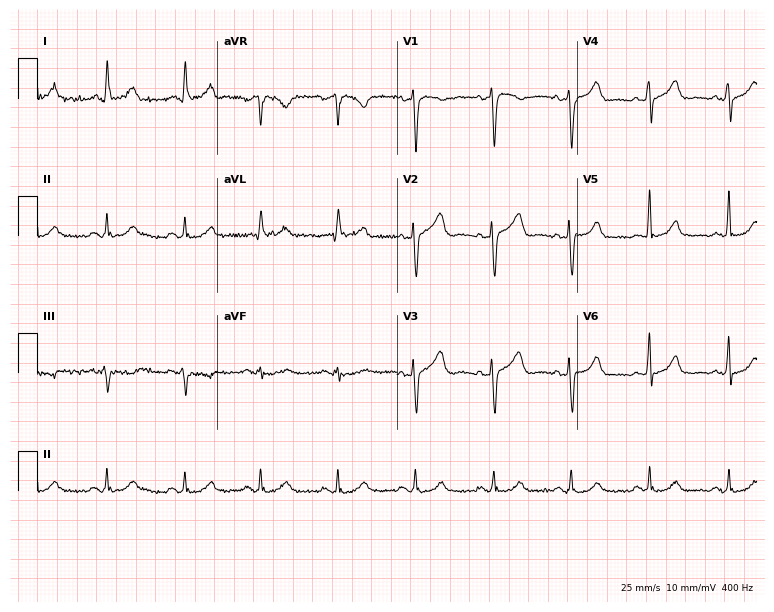
Resting 12-lead electrocardiogram (7.3-second recording at 400 Hz). Patient: a female, 60 years old. Read as a normal ECG.